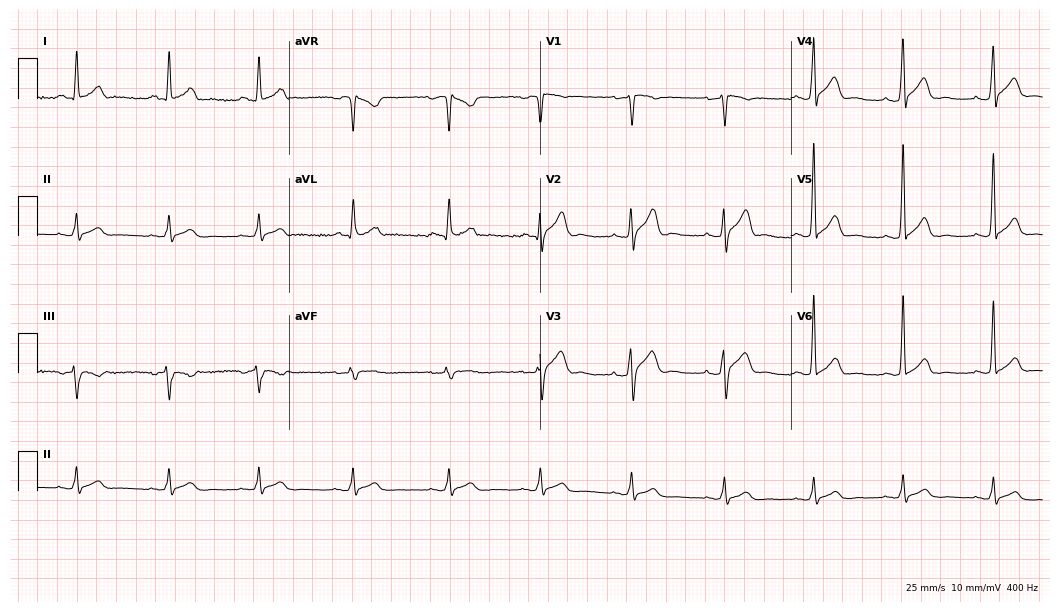
12-lead ECG from a man, 46 years old. Labelled as a normal ECG.